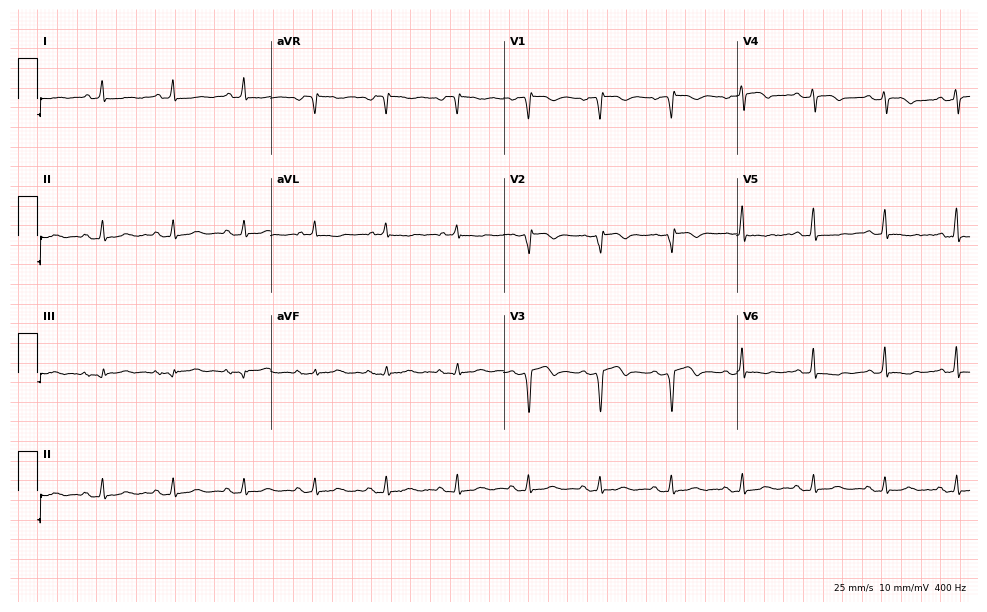
ECG — a female, 53 years old. Screened for six findings — first-degree AV block, right bundle branch block (RBBB), left bundle branch block (LBBB), sinus bradycardia, atrial fibrillation (AF), sinus tachycardia — none is recorded. Other findings, if any, are not listed.